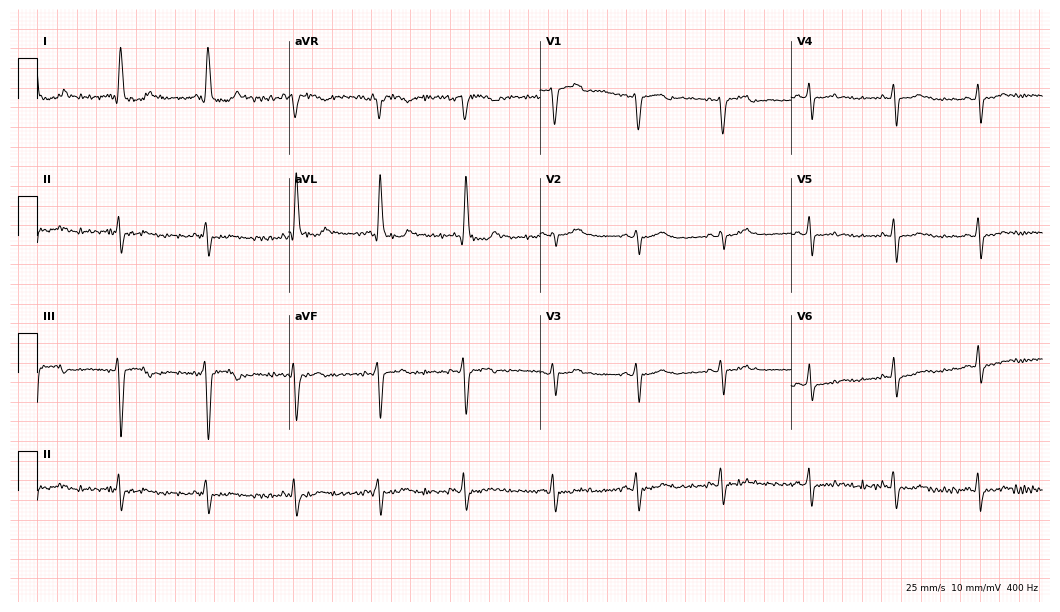
Resting 12-lead electrocardiogram (10.2-second recording at 400 Hz). Patient: a 68-year-old female. None of these six findings is recorded: first-degree AV block, right bundle branch block, left bundle branch block, sinus bradycardia, atrial fibrillation, sinus tachycardia.